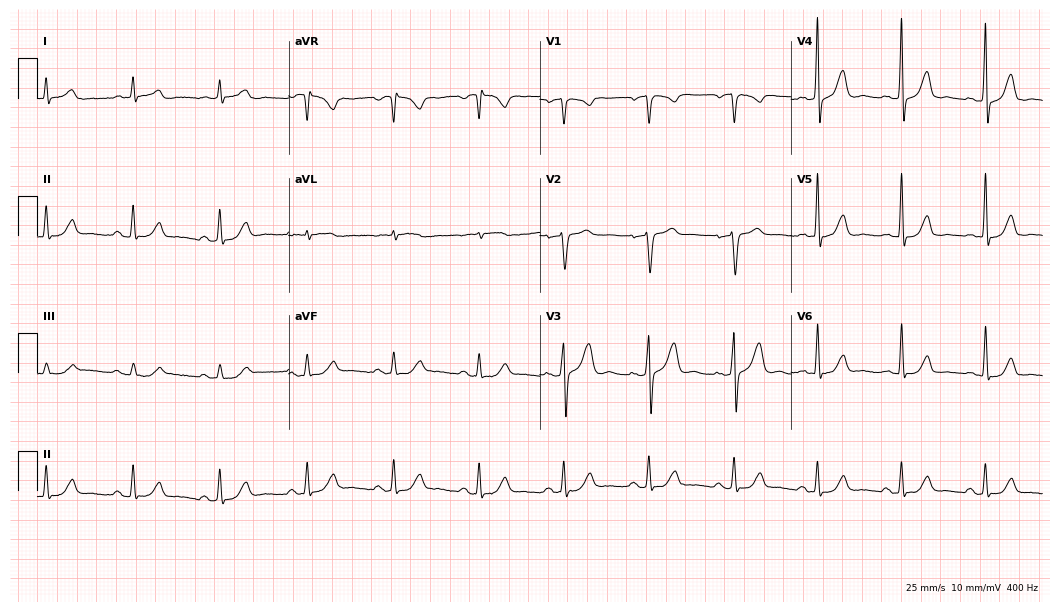
12-lead ECG from a 65-year-old male patient. Labelled as a normal ECG.